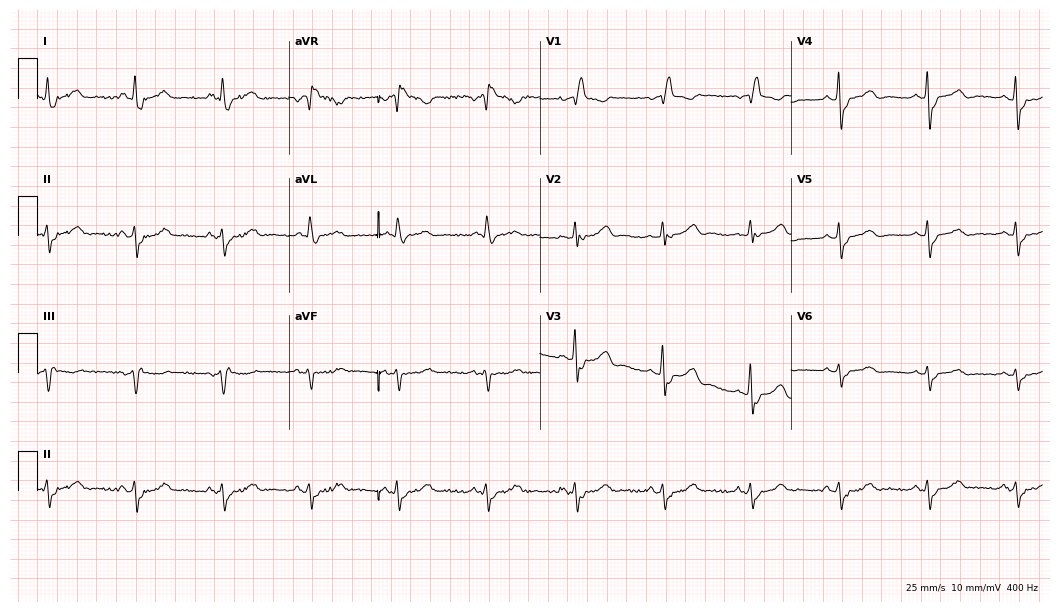
12-lead ECG from an 80-year-old female patient. Shows right bundle branch block.